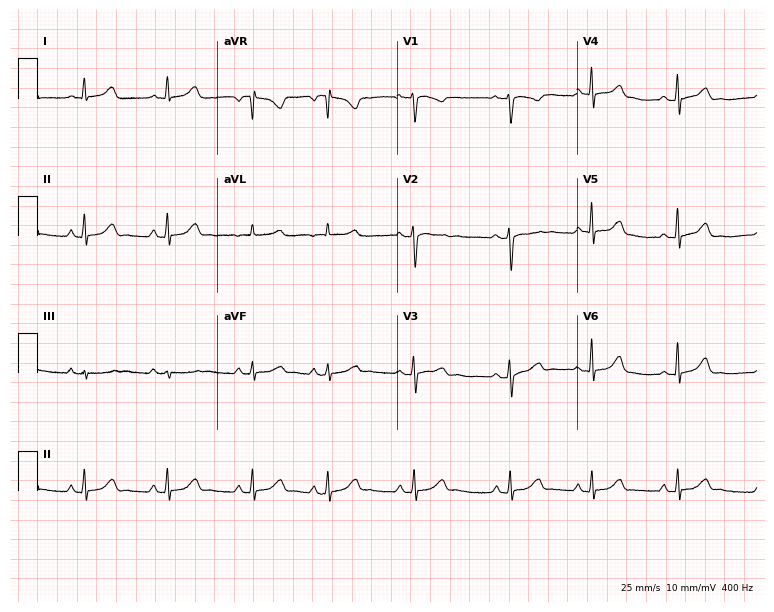
Electrocardiogram, a woman, 29 years old. Overall reading on record: normal ECG.